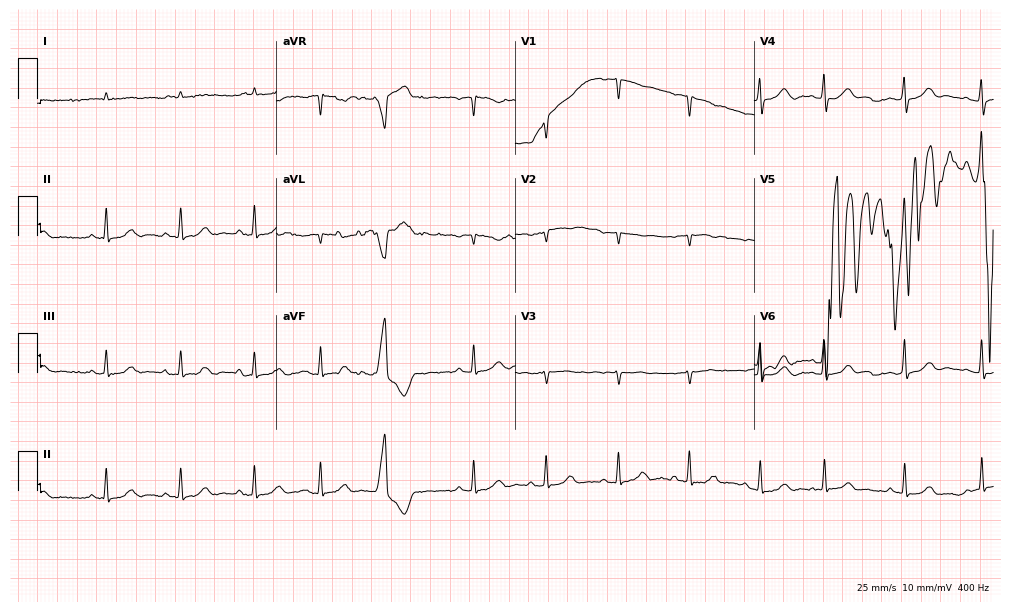
Resting 12-lead electrocardiogram (9.7-second recording at 400 Hz). Patient: an 83-year-old female. None of these six findings is recorded: first-degree AV block, right bundle branch block, left bundle branch block, sinus bradycardia, atrial fibrillation, sinus tachycardia. Only these six findings were labelled.